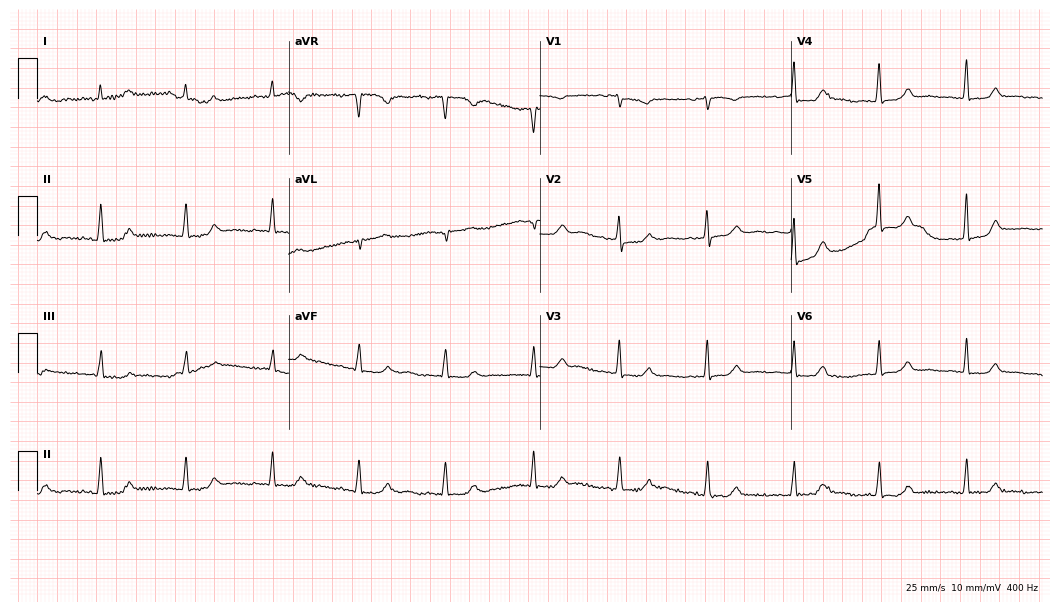
12-lead ECG (10.2-second recording at 400 Hz) from a 71-year-old female patient. Screened for six findings — first-degree AV block, right bundle branch block, left bundle branch block, sinus bradycardia, atrial fibrillation, sinus tachycardia — none is recorded.